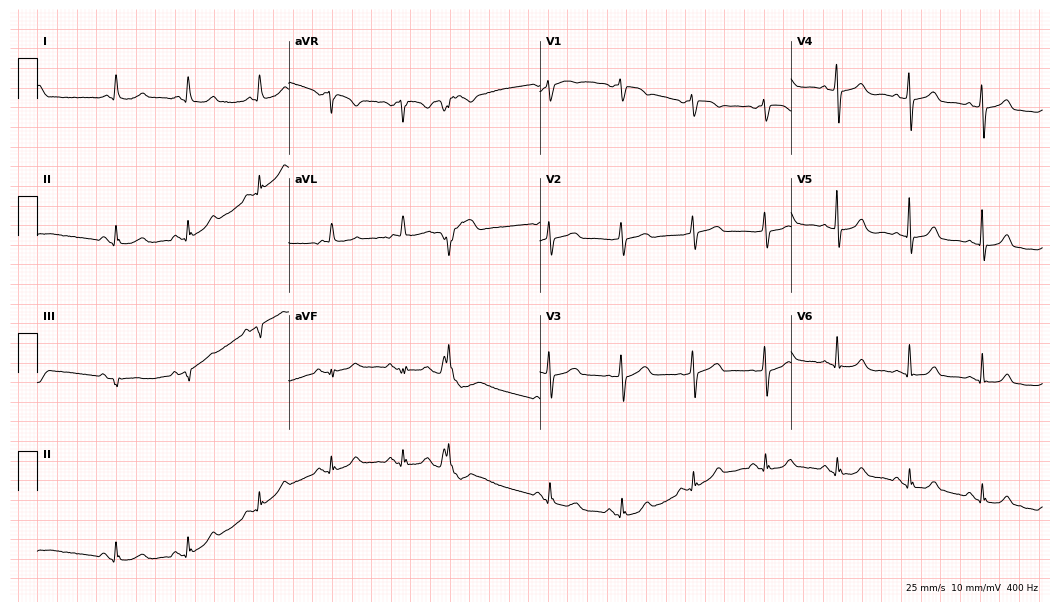
12-lead ECG from a female, 71 years old (10.2-second recording at 400 Hz). Recorded interpretation: within normal limits.